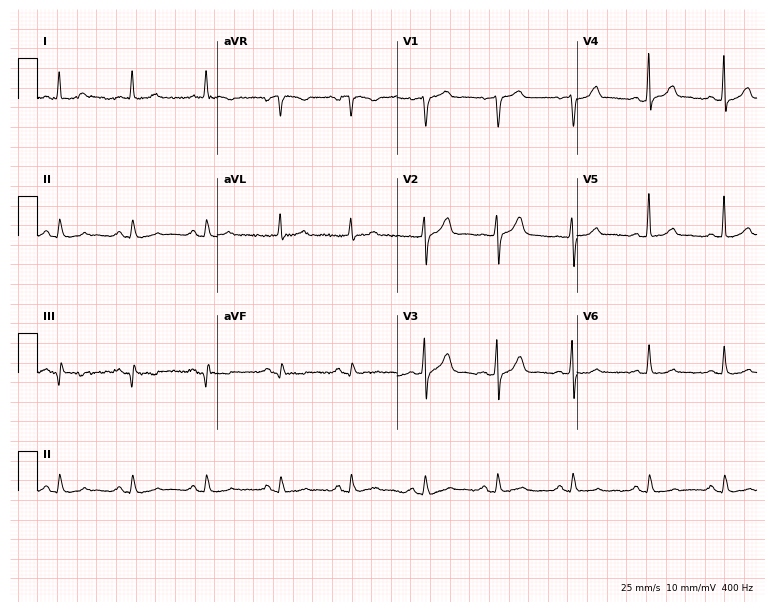
Electrocardiogram (7.3-second recording at 400 Hz), a man, 70 years old. Of the six screened findings (first-degree AV block, right bundle branch block, left bundle branch block, sinus bradycardia, atrial fibrillation, sinus tachycardia), none is recorded.